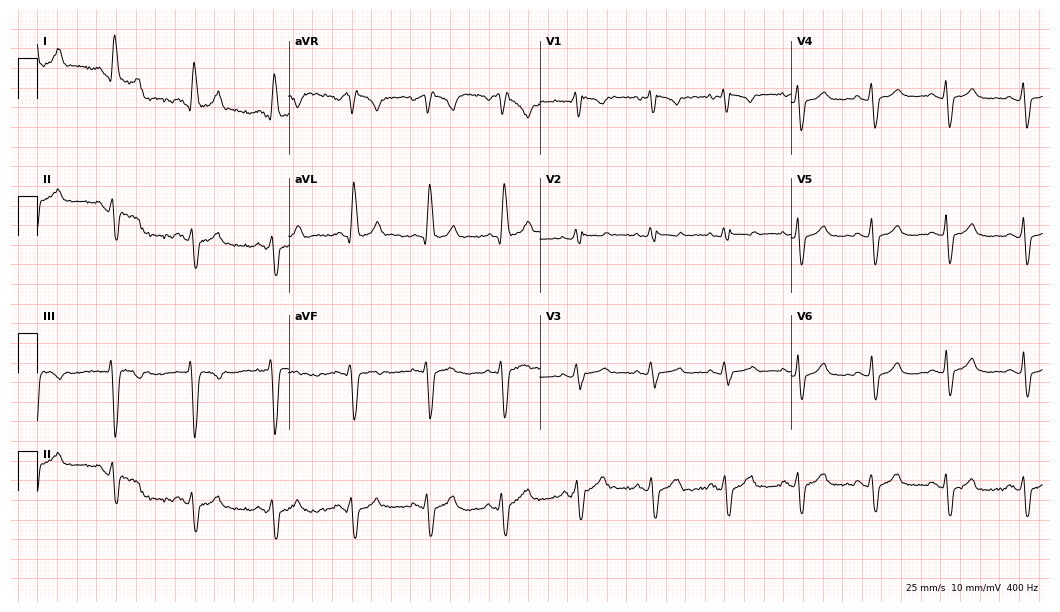
12-lead ECG from a 45-year-old woman. Findings include right bundle branch block.